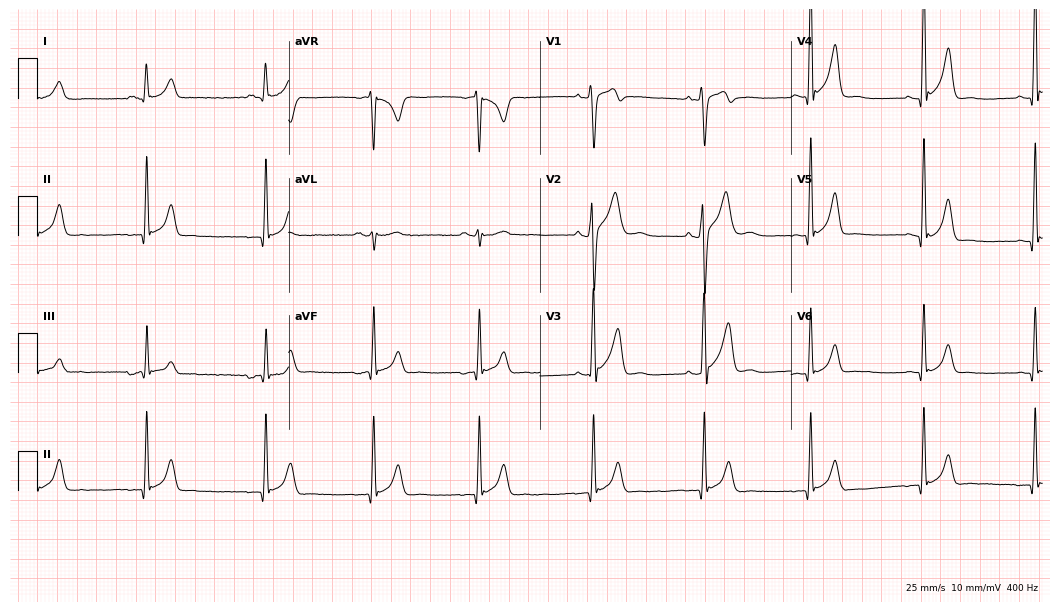
ECG — a male patient, 21 years old. Labelled as a normal ECG.